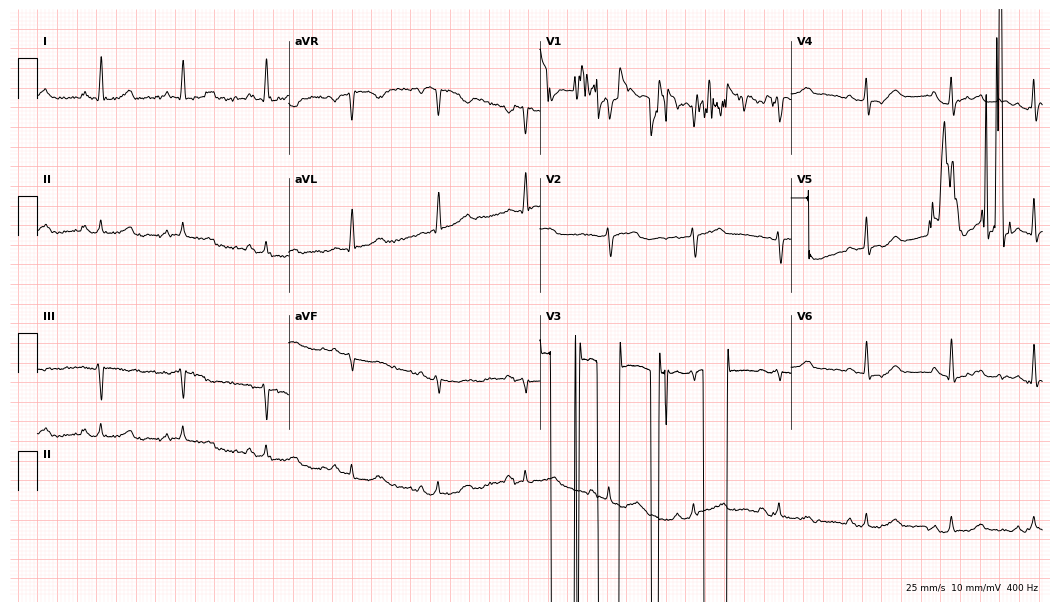
Electrocardiogram, a female, 56 years old. Of the six screened findings (first-degree AV block, right bundle branch block, left bundle branch block, sinus bradycardia, atrial fibrillation, sinus tachycardia), none is recorded. Only these six findings were labelled.